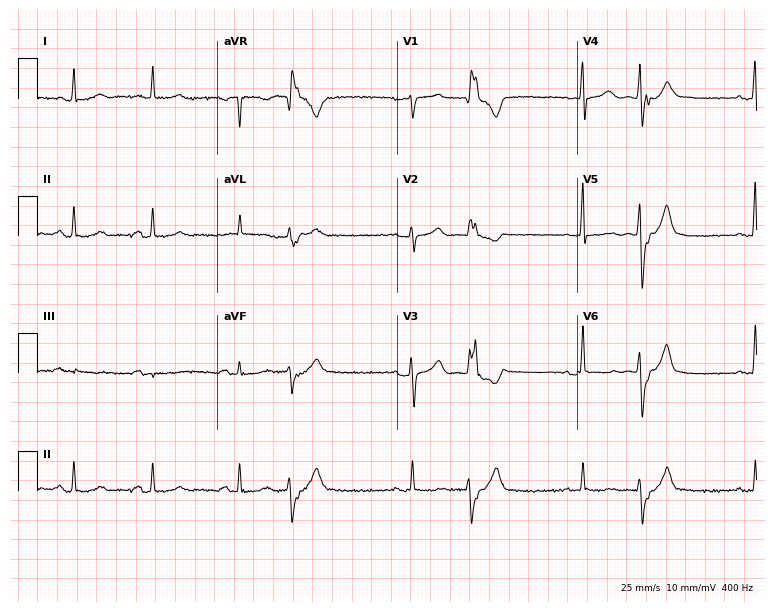
ECG (7.3-second recording at 400 Hz) — a 74-year-old female. Screened for six findings — first-degree AV block, right bundle branch block (RBBB), left bundle branch block (LBBB), sinus bradycardia, atrial fibrillation (AF), sinus tachycardia — none is recorded. Only these six findings were labelled.